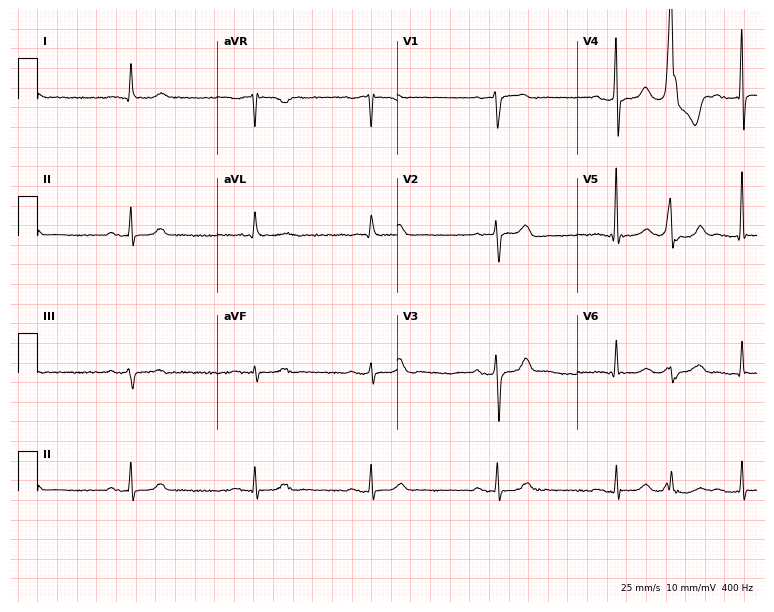
Electrocardiogram, a male, 81 years old. Overall reading on record: normal ECG.